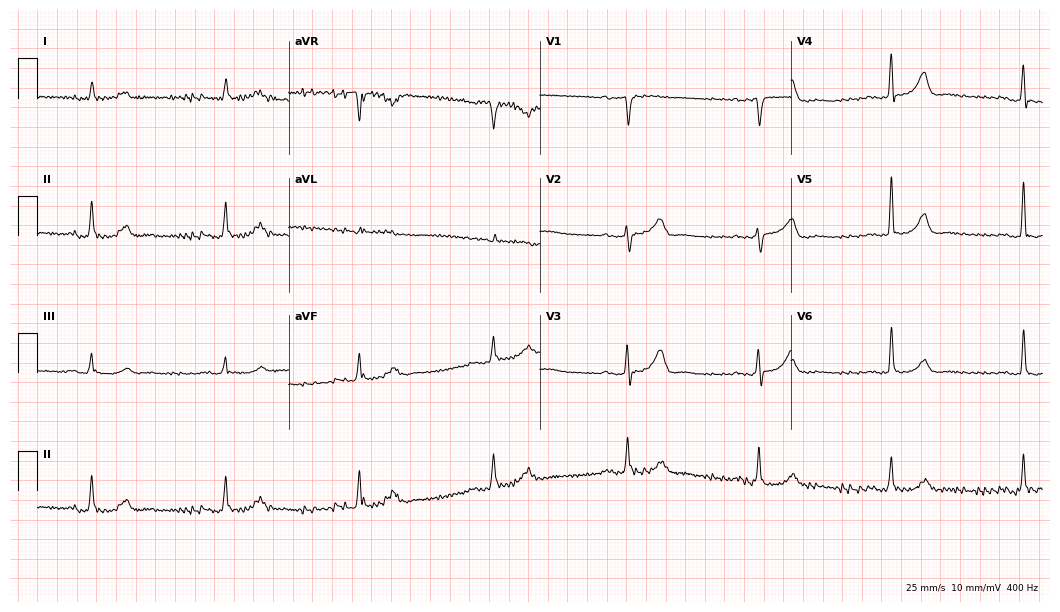
Resting 12-lead electrocardiogram (10.2-second recording at 400 Hz). Patient: a male, 80 years old. None of these six findings is recorded: first-degree AV block, right bundle branch block, left bundle branch block, sinus bradycardia, atrial fibrillation, sinus tachycardia.